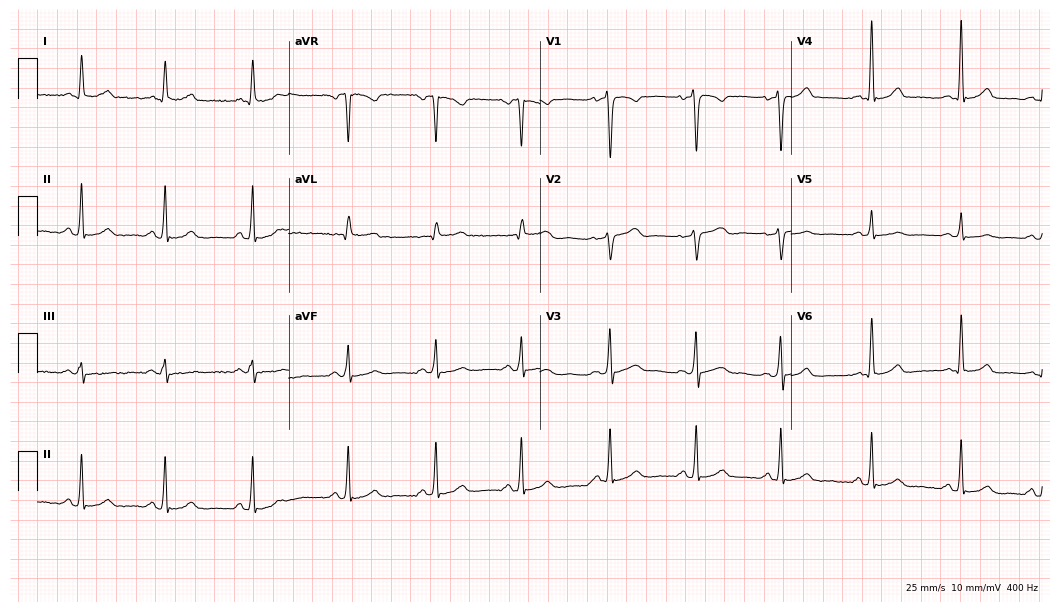
Resting 12-lead electrocardiogram. Patient: a 44-year-old female. Read as a normal ECG.